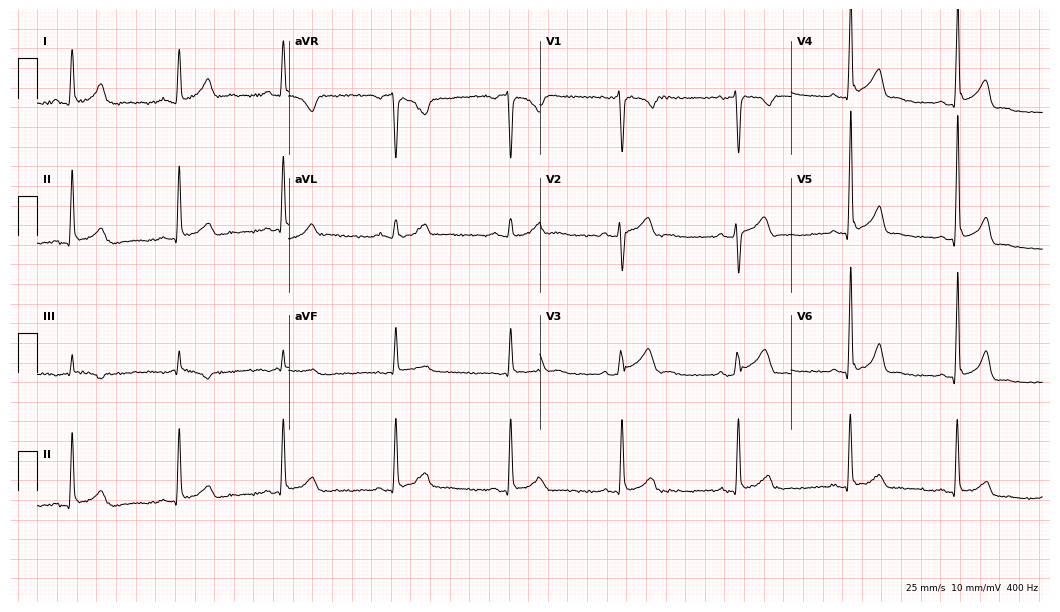
Standard 12-lead ECG recorded from a 44-year-old man (10.2-second recording at 400 Hz). None of these six findings is recorded: first-degree AV block, right bundle branch block, left bundle branch block, sinus bradycardia, atrial fibrillation, sinus tachycardia. Other findings, if any, are not listed.